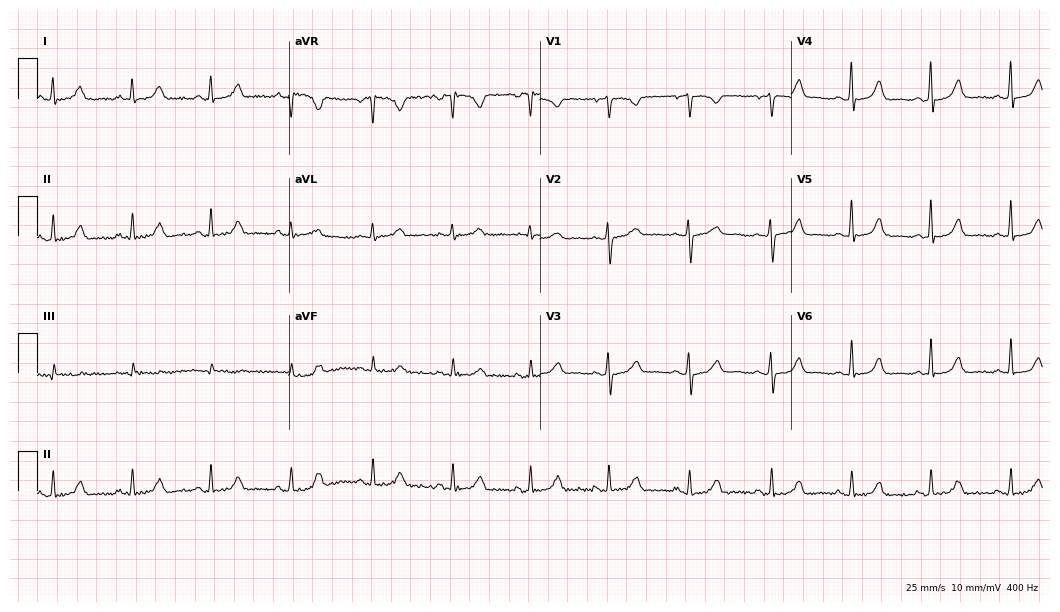
Standard 12-lead ECG recorded from a woman, 48 years old (10.2-second recording at 400 Hz). Read as a normal ECG.